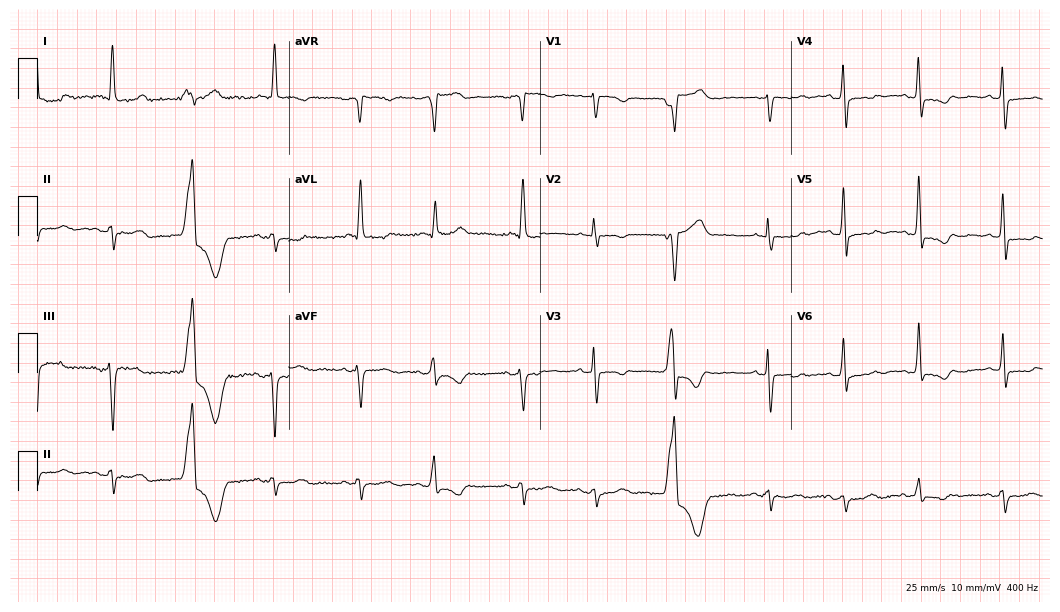
Resting 12-lead electrocardiogram. Patient: a female, 76 years old. None of these six findings is recorded: first-degree AV block, right bundle branch block, left bundle branch block, sinus bradycardia, atrial fibrillation, sinus tachycardia. Only these six findings were labelled.